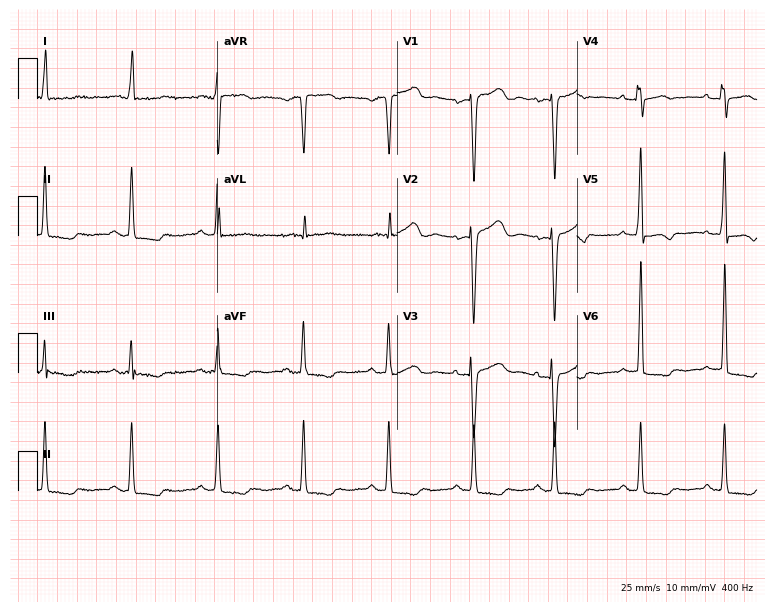
Electrocardiogram (7.3-second recording at 400 Hz), a woman, 78 years old. Of the six screened findings (first-degree AV block, right bundle branch block, left bundle branch block, sinus bradycardia, atrial fibrillation, sinus tachycardia), none is recorded. Only these six findings were labelled.